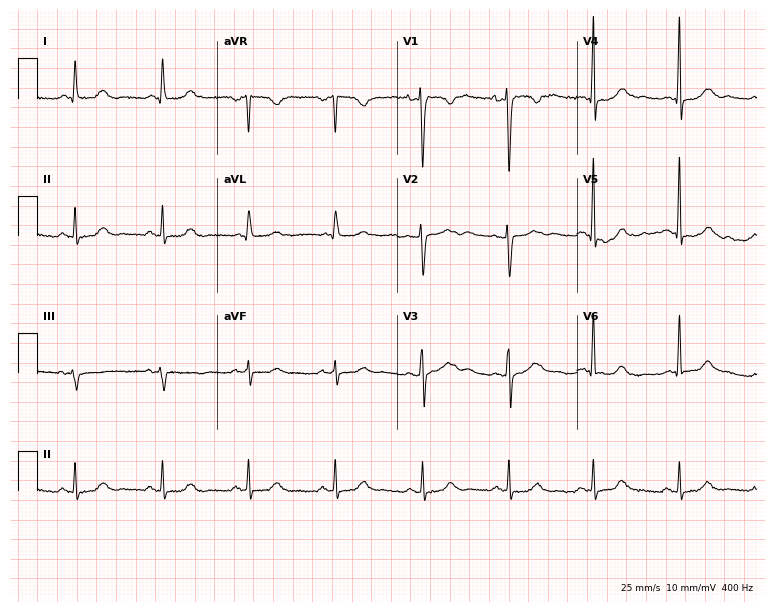
12-lead ECG (7.3-second recording at 400 Hz) from a female, 36 years old. Labelled as a normal ECG.